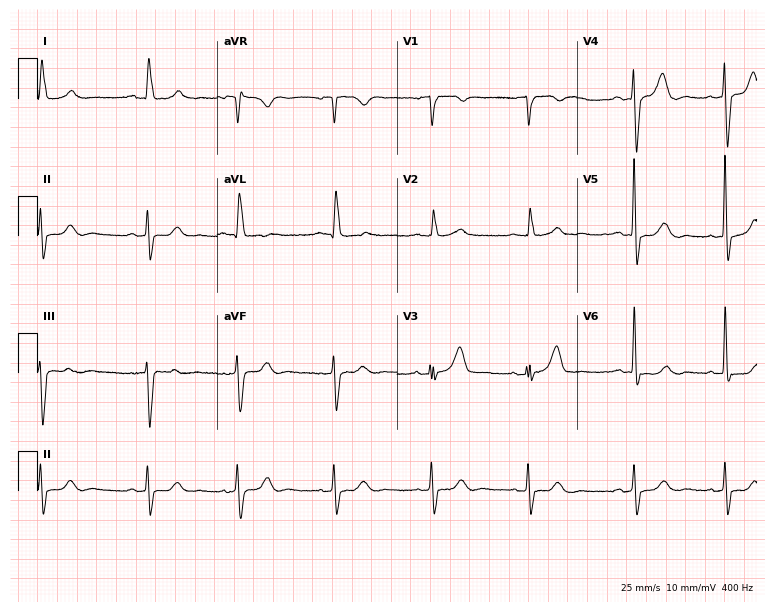
12-lead ECG from an 82-year-old male patient (7.3-second recording at 400 Hz). No first-degree AV block, right bundle branch block, left bundle branch block, sinus bradycardia, atrial fibrillation or sinus tachycardia recorded for this tracing. Findings outside these six are not listed.